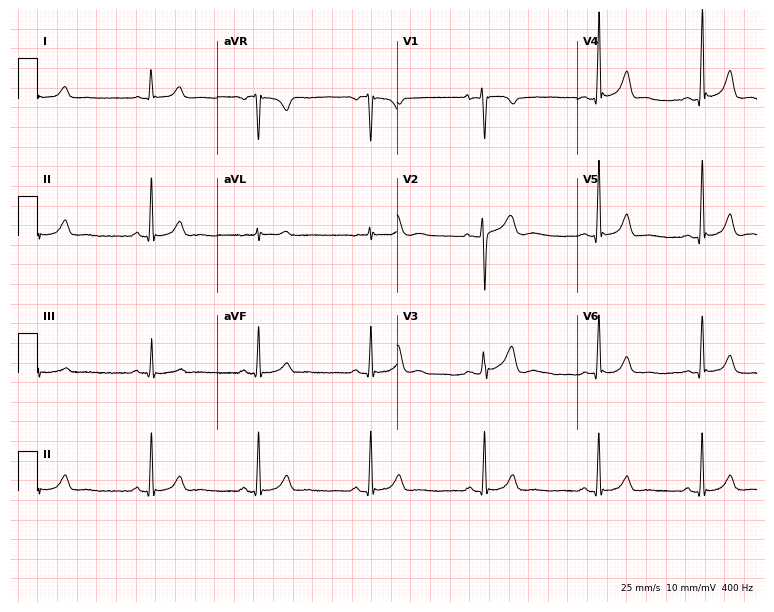
12-lead ECG from a 30-year-old woman. Recorded interpretation: within normal limits.